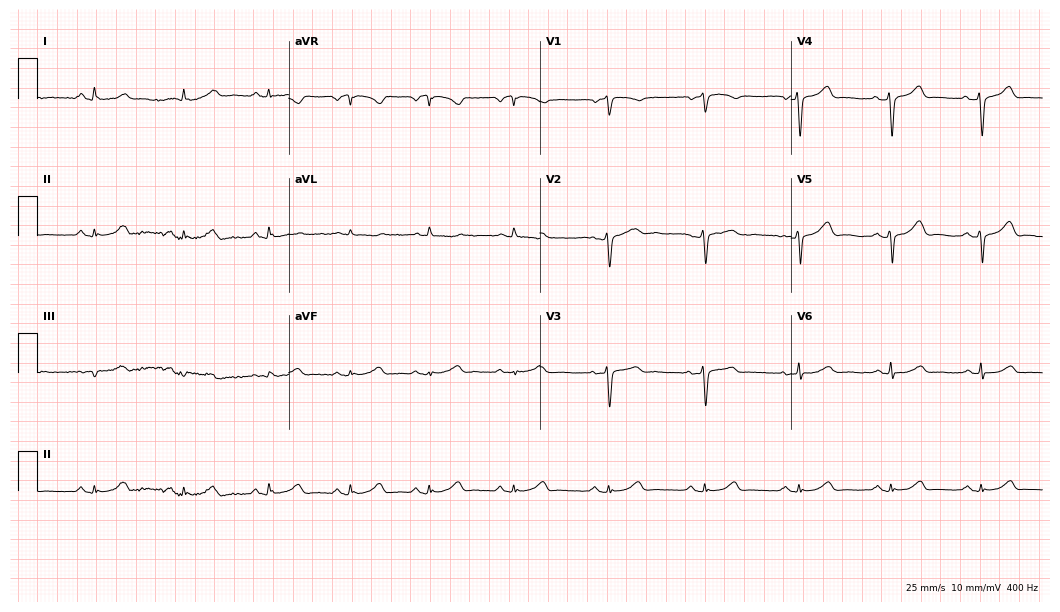
Standard 12-lead ECG recorded from a 53-year-old woman (10.2-second recording at 400 Hz). None of these six findings is recorded: first-degree AV block, right bundle branch block, left bundle branch block, sinus bradycardia, atrial fibrillation, sinus tachycardia. Only these six findings were labelled.